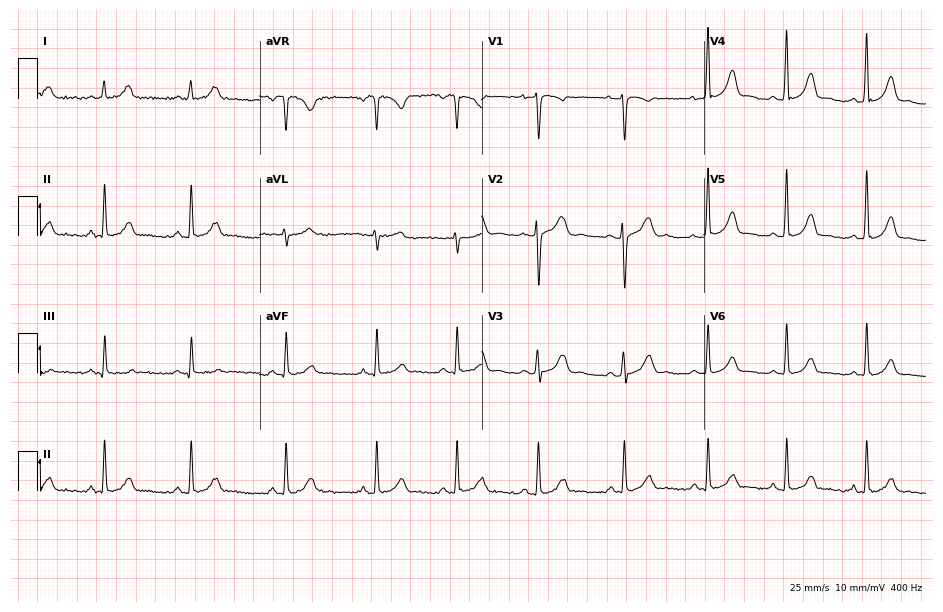
ECG (9.1-second recording at 400 Hz) — a 45-year-old woman. Screened for six findings — first-degree AV block, right bundle branch block (RBBB), left bundle branch block (LBBB), sinus bradycardia, atrial fibrillation (AF), sinus tachycardia — none is recorded. Findings outside these six are not listed.